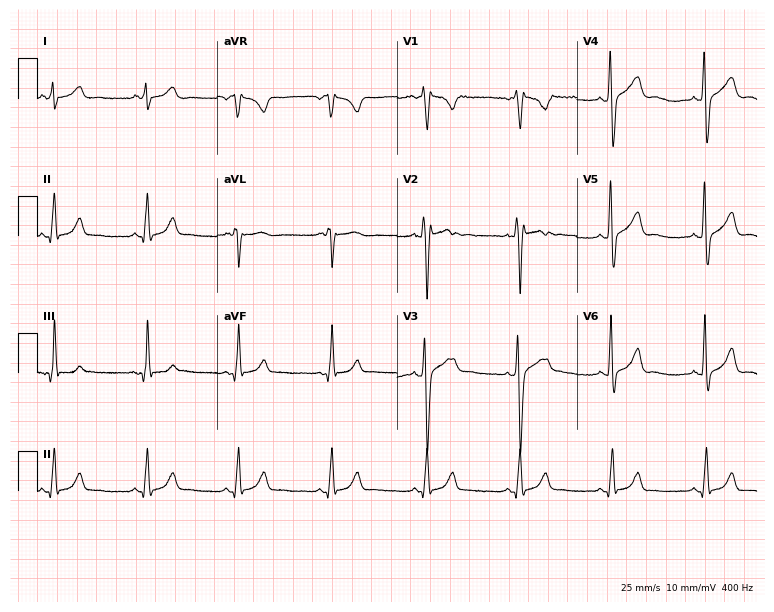
ECG (7.3-second recording at 400 Hz) — a 30-year-old man. Labelled as a normal ECG.